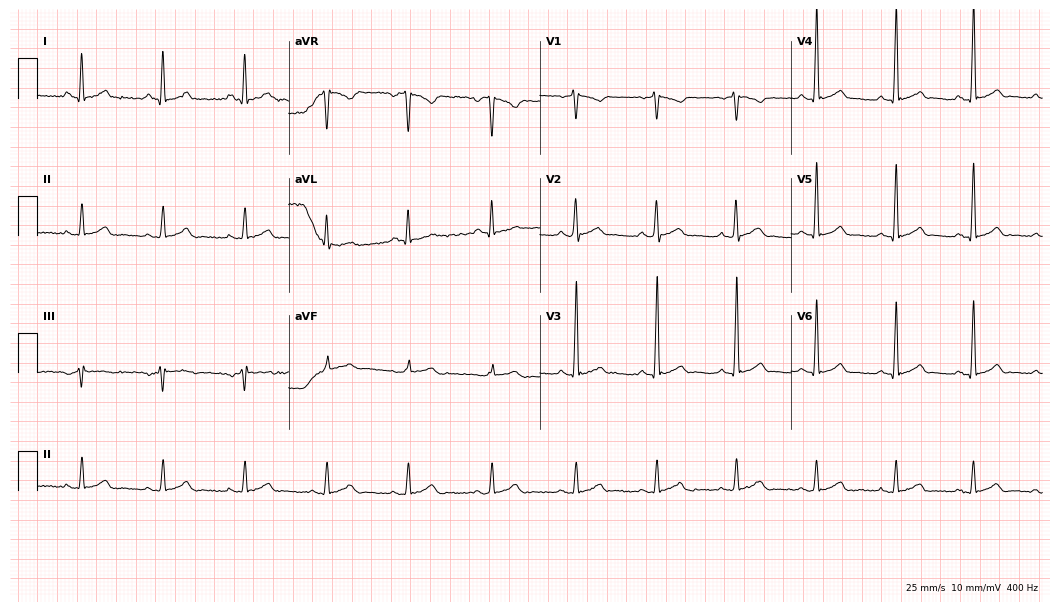
Electrocardiogram, a man, 47 years old. Of the six screened findings (first-degree AV block, right bundle branch block (RBBB), left bundle branch block (LBBB), sinus bradycardia, atrial fibrillation (AF), sinus tachycardia), none is recorded. Other findings, if any, are not listed.